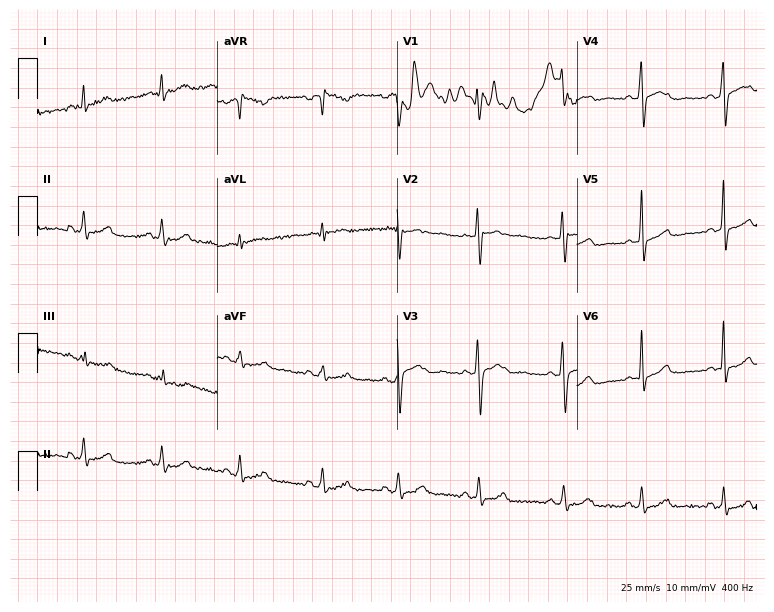
ECG — a 30-year-old female. Screened for six findings — first-degree AV block, right bundle branch block, left bundle branch block, sinus bradycardia, atrial fibrillation, sinus tachycardia — none is recorded.